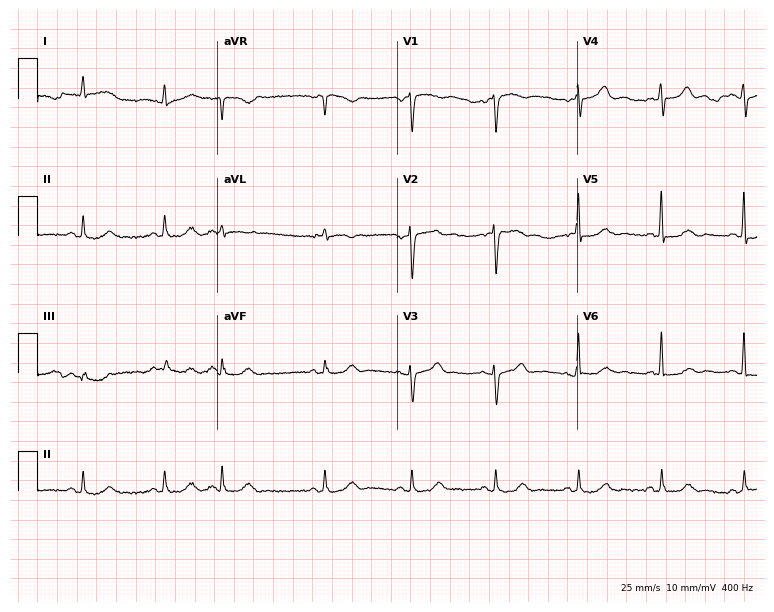
ECG (7.3-second recording at 400 Hz) — a male patient, 84 years old. Labelled as a normal ECG.